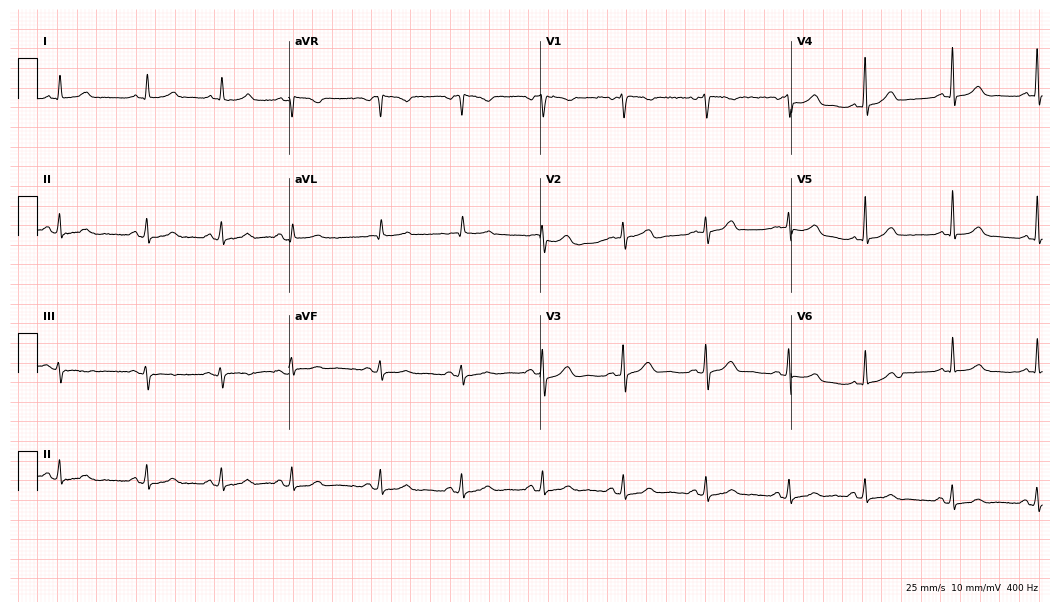
12-lead ECG from a 78-year-old woman (10.2-second recording at 400 Hz). Recorded interpretation: within normal limits.